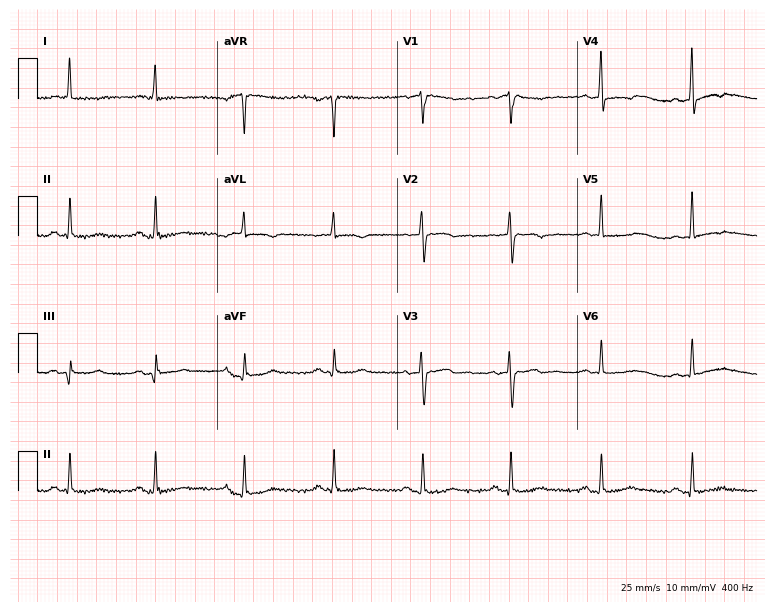
12-lead ECG from a female, 85 years old (7.3-second recording at 400 Hz). Recorded interpretation: within normal limits.